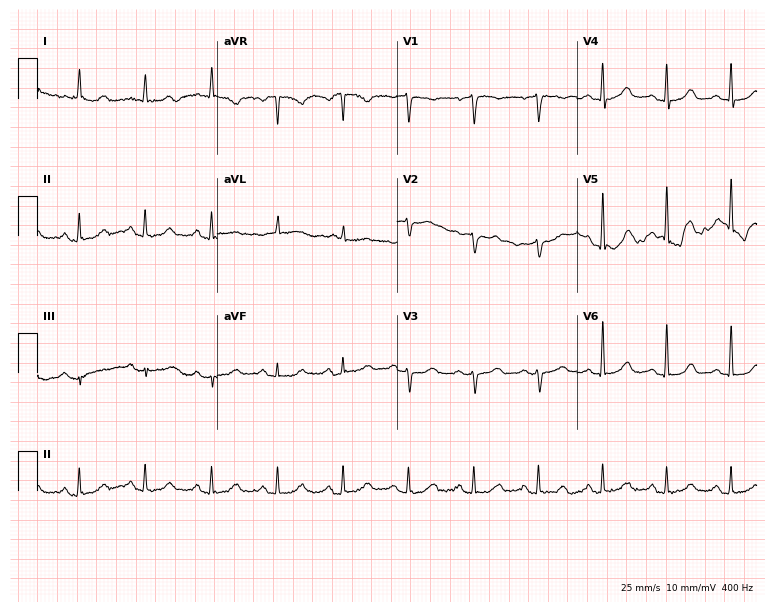
12-lead ECG from a female patient, 73 years old. Recorded interpretation: within normal limits.